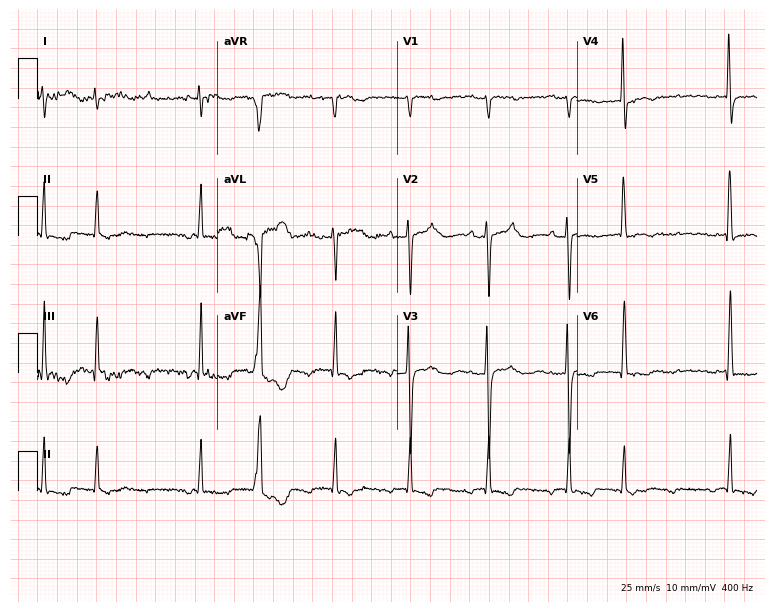
Resting 12-lead electrocardiogram. Patient: a woman, 65 years old. None of these six findings is recorded: first-degree AV block, right bundle branch block, left bundle branch block, sinus bradycardia, atrial fibrillation, sinus tachycardia.